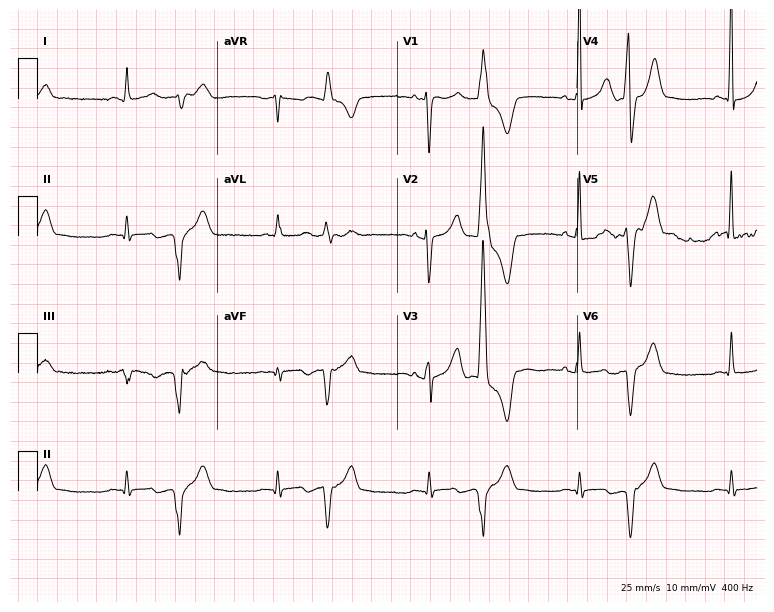
Standard 12-lead ECG recorded from a 48-year-old female. None of these six findings is recorded: first-degree AV block, right bundle branch block (RBBB), left bundle branch block (LBBB), sinus bradycardia, atrial fibrillation (AF), sinus tachycardia. Only these six findings were labelled.